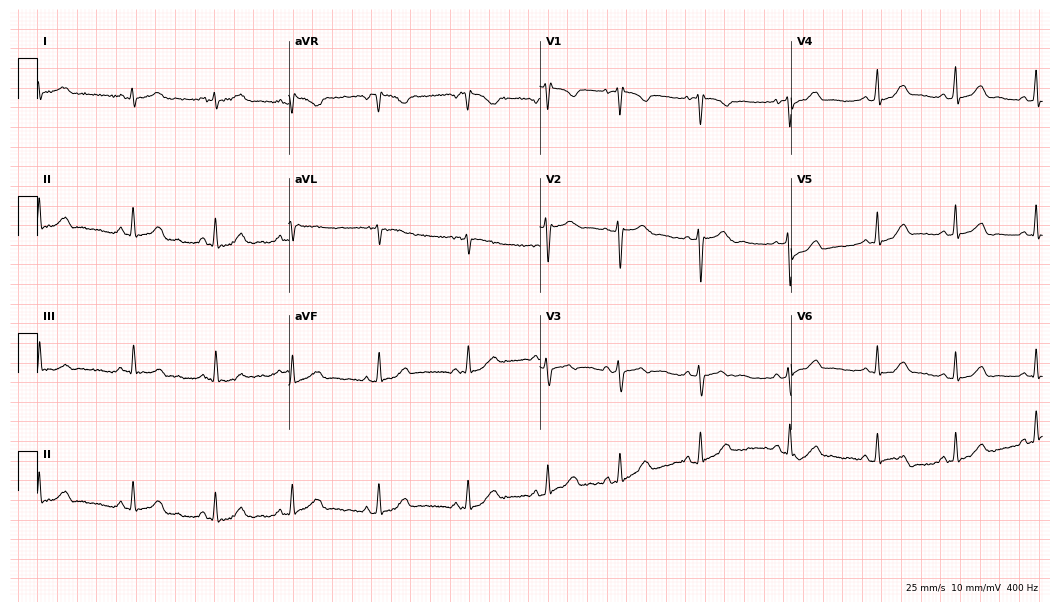
ECG — a woman, 26 years old. Screened for six findings — first-degree AV block, right bundle branch block, left bundle branch block, sinus bradycardia, atrial fibrillation, sinus tachycardia — none is recorded.